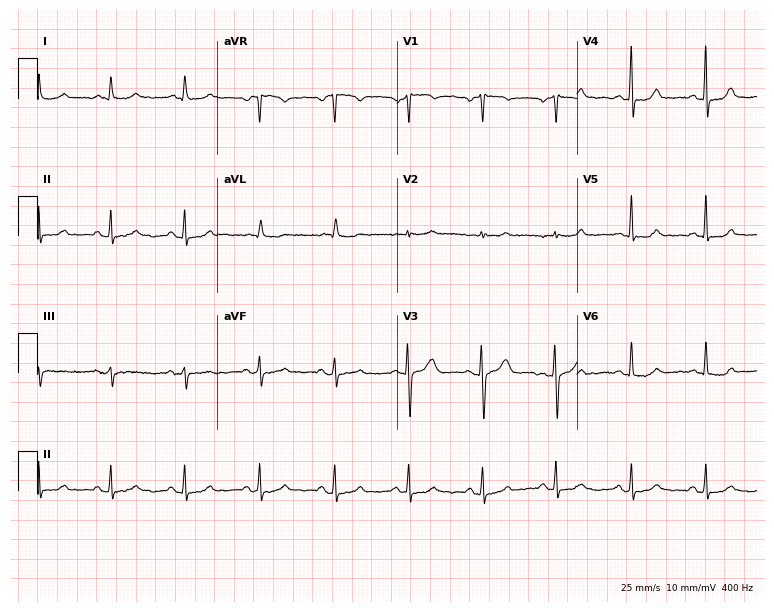
ECG — a 53-year-old woman. Screened for six findings — first-degree AV block, right bundle branch block, left bundle branch block, sinus bradycardia, atrial fibrillation, sinus tachycardia — none is recorded.